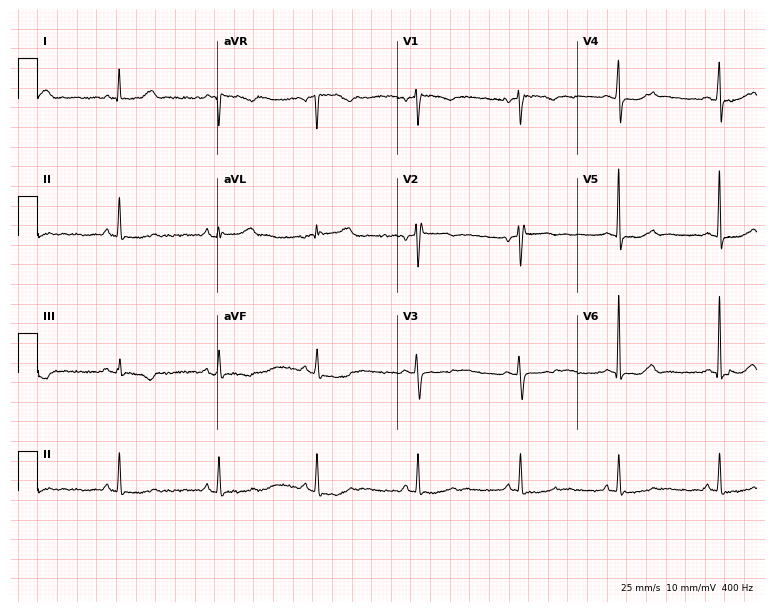
Electrocardiogram (7.3-second recording at 400 Hz), a woman, 42 years old. Of the six screened findings (first-degree AV block, right bundle branch block, left bundle branch block, sinus bradycardia, atrial fibrillation, sinus tachycardia), none is recorded.